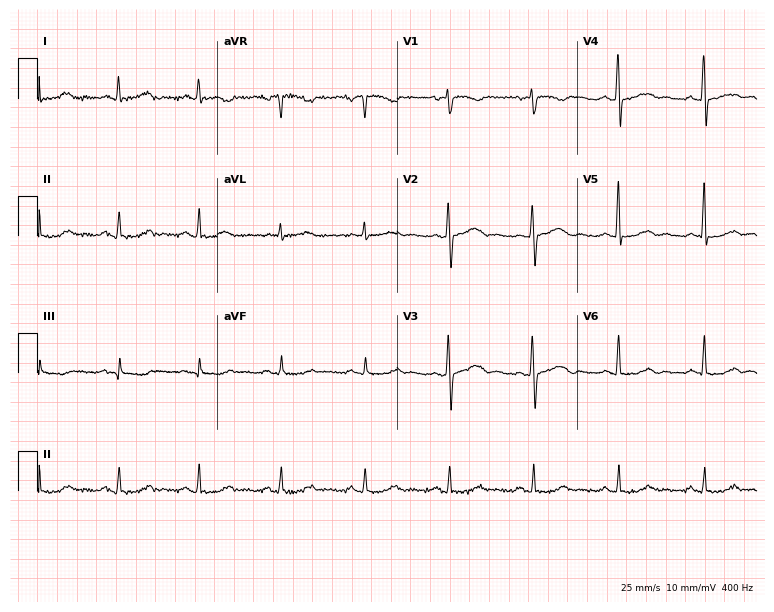
Resting 12-lead electrocardiogram (7.3-second recording at 400 Hz). Patient: a female, 47 years old. None of these six findings is recorded: first-degree AV block, right bundle branch block, left bundle branch block, sinus bradycardia, atrial fibrillation, sinus tachycardia. Other findings, if any, are not listed.